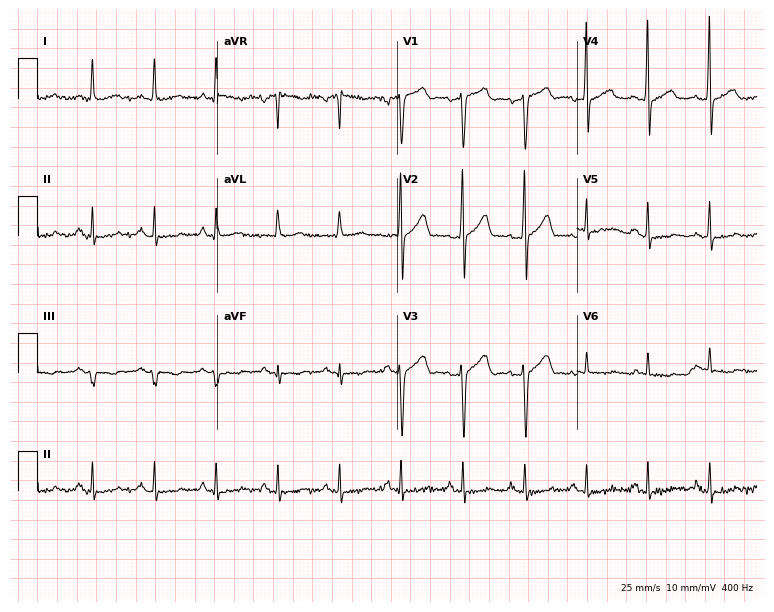
12-lead ECG from a 66-year-old man (7.3-second recording at 400 Hz). Recorded interpretation: within normal limits.